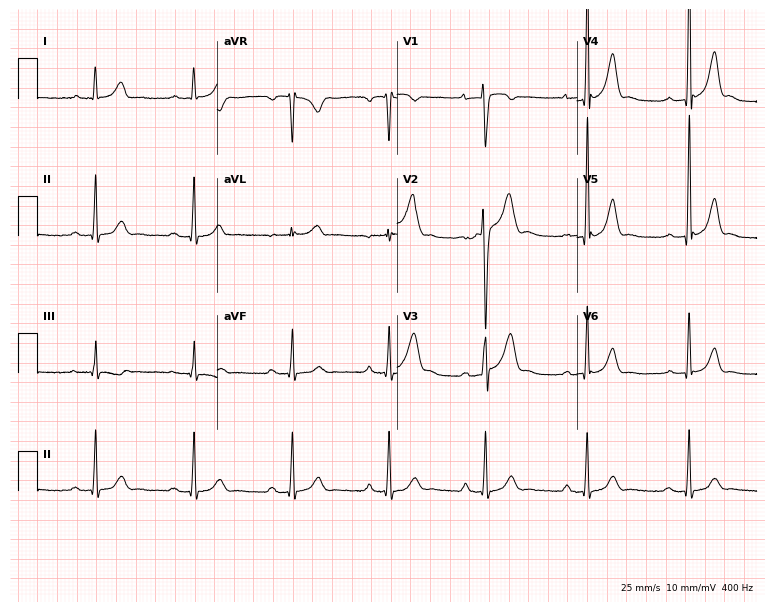
Resting 12-lead electrocardiogram (7.3-second recording at 400 Hz). Patient: a man, 31 years old. None of these six findings is recorded: first-degree AV block, right bundle branch block, left bundle branch block, sinus bradycardia, atrial fibrillation, sinus tachycardia. Only these six findings were labelled.